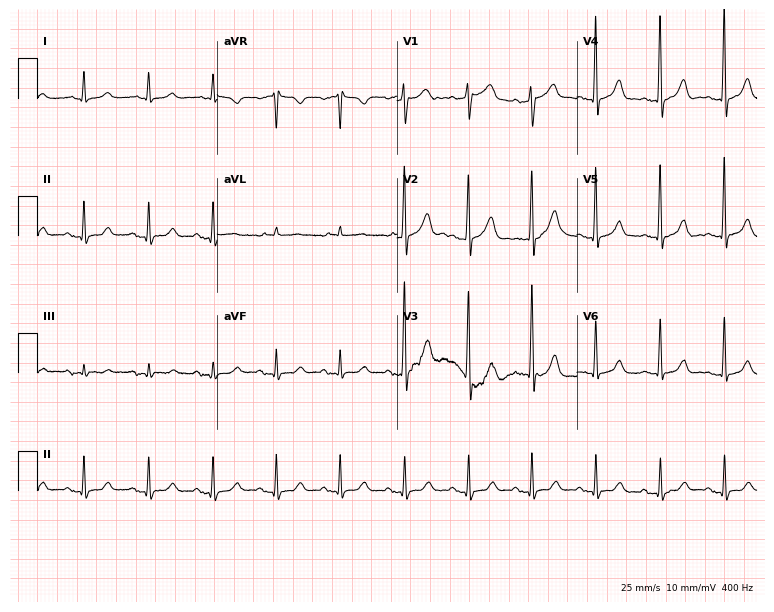
Resting 12-lead electrocardiogram. Patient: an 81-year-old male. None of these six findings is recorded: first-degree AV block, right bundle branch block (RBBB), left bundle branch block (LBBB), sinus bradycardia, atrial fibrillation (AF), sinus tachycardia. Only these six findings were labelled.